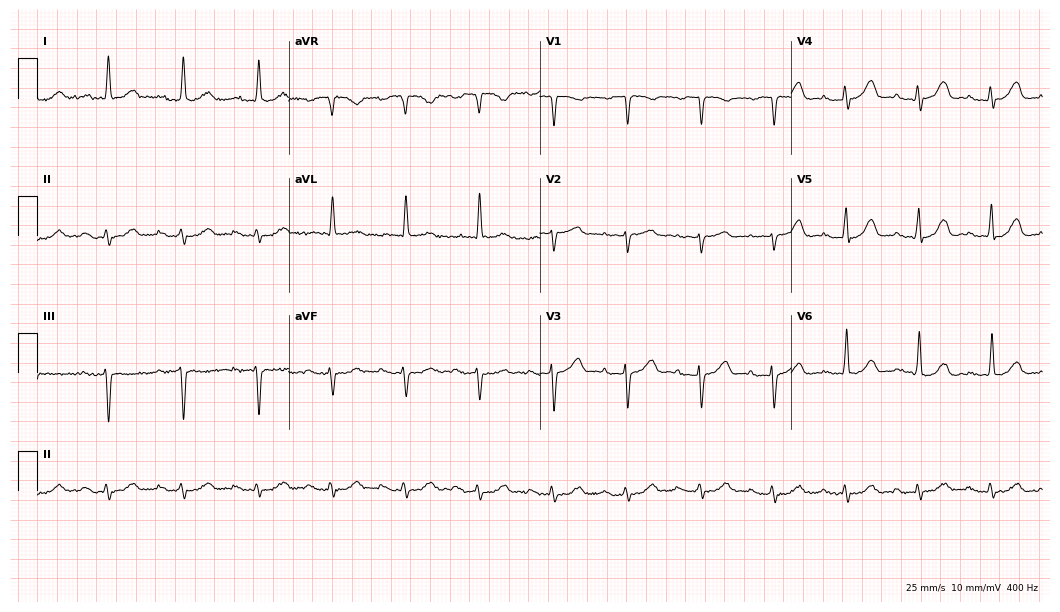
Electrocardiogram, a male, 76 years old. Interpretation includes first-degree AV block.